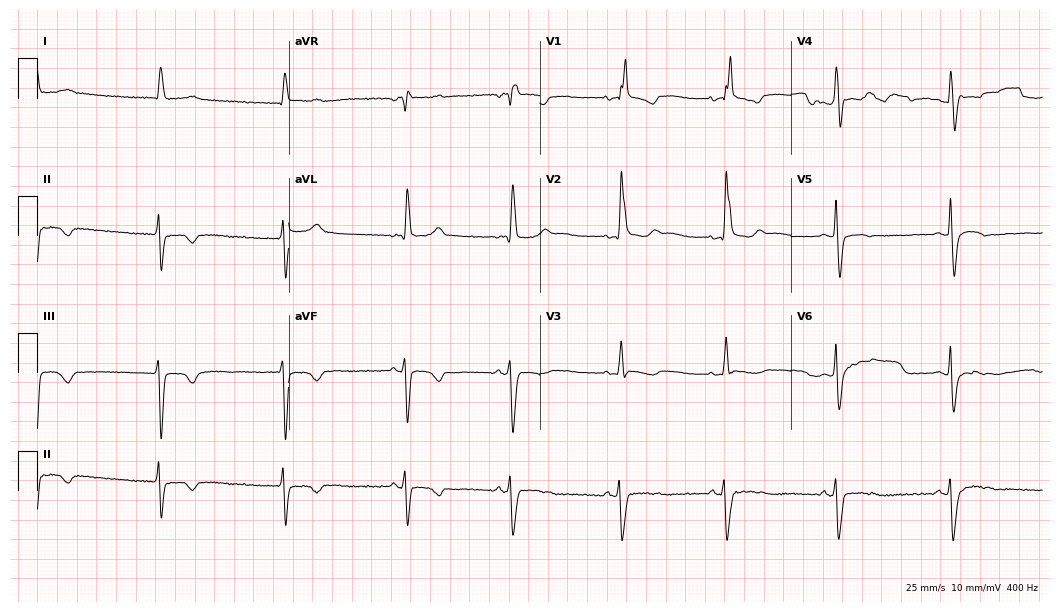
12-lead ECG from a 66-year-old female patient. Screened for six findings — first-degree AV block, right bundle branch block (RBBB), left bundle branch block (LBBB), sinus bradycardia, atrial fibrillation (AF), sinus tachycardia — none is recorded.